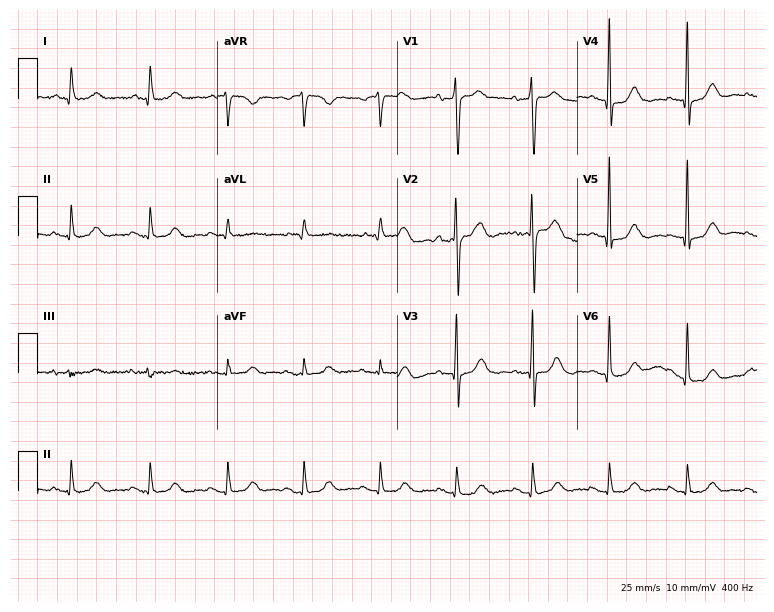
12-lead ECG from a man, 65 years old (7.3-second recording at 400 Hz). No first-degree AV block, right bundle branch block, left bundle branch block, sinus bradycardia, atrial fibrillation or sinus tachycardia recorded for this tracing.